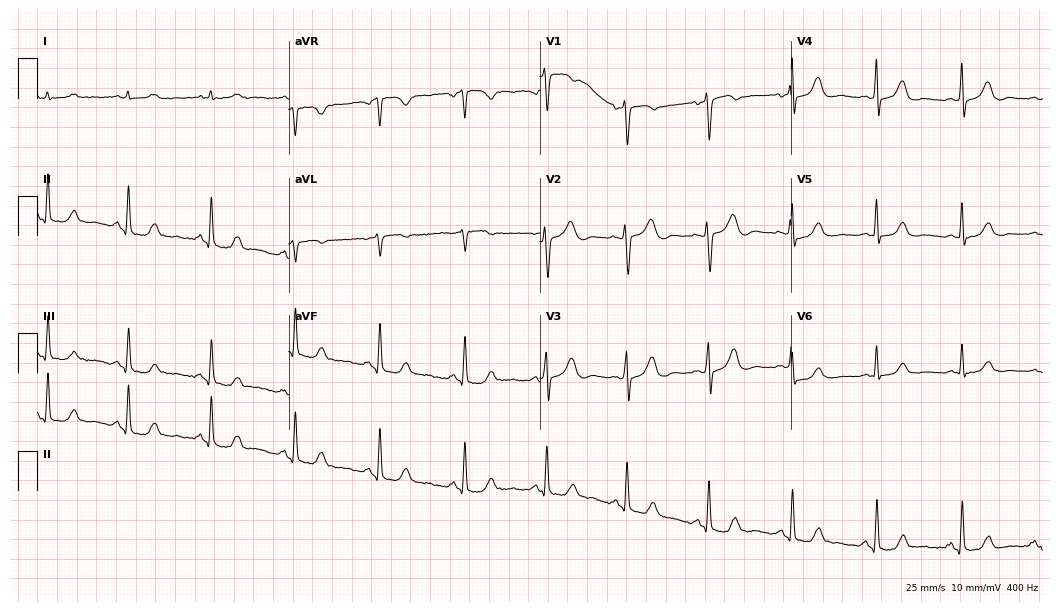
12-lead ECG from a female, 60 years old (10.2-second recording at 400 Hz). Recorded interpretation: within normal limits.